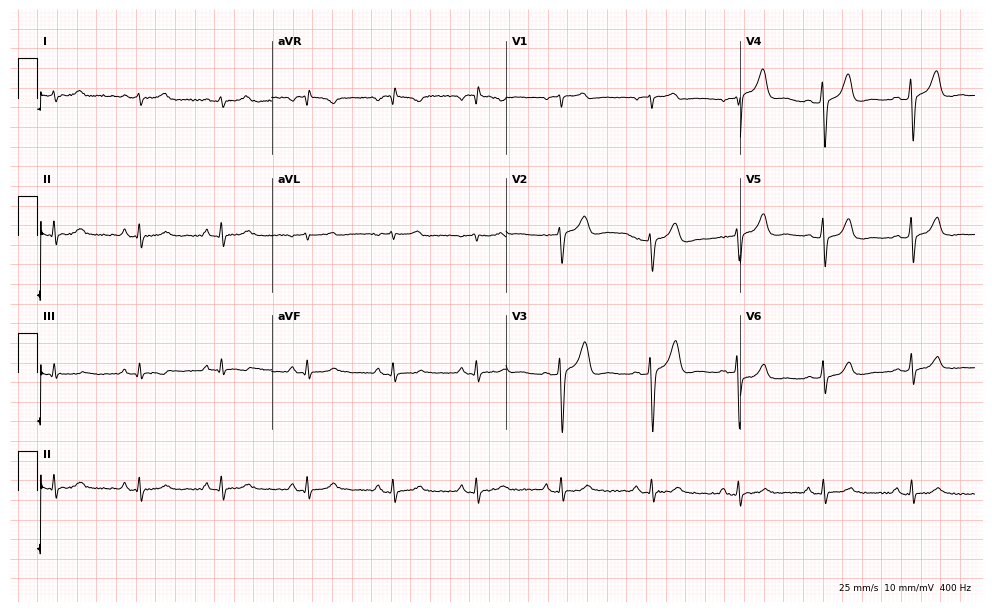
Resting 12-lead electrocardiogram (9.6-second recording at 400 Hz). Patient: a male, 55 years old. None of these six findings is recorded: first-degree AV block, right bundle branch block, left bundle branch block, sinus bradycardia, atrial fibrillation, sinus tachycardia. Other findings, if any, are not listed.